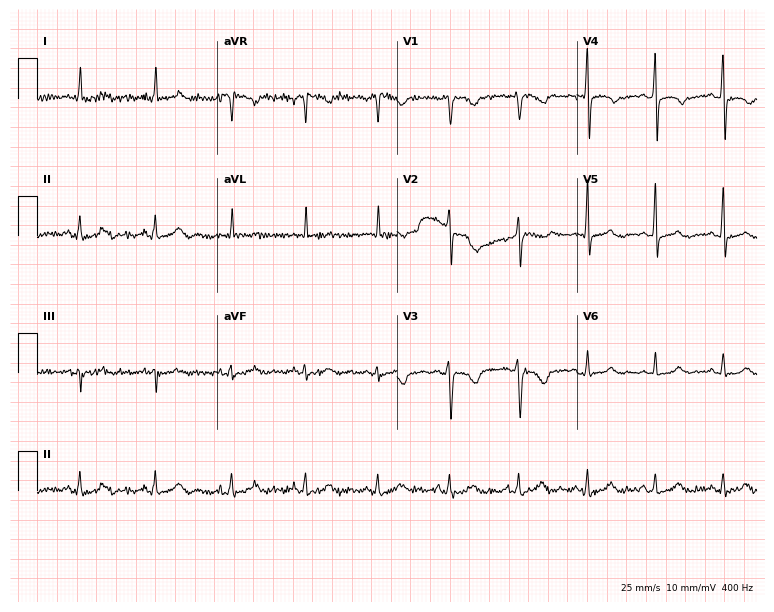
ECG (7.3-second recording at 400 Hz) — a female, 50 years old. Labelled as a normal ECG.